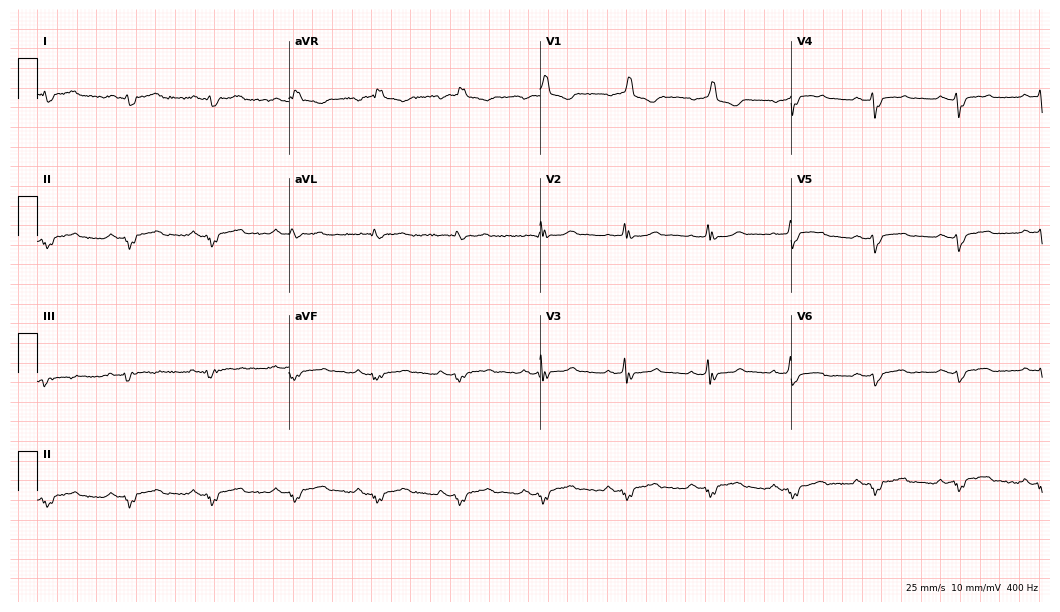
Resting 12-lead electrocardiogram. Patient: a 71-year-old male. The tracing shows right bundle branch block (RBBB).